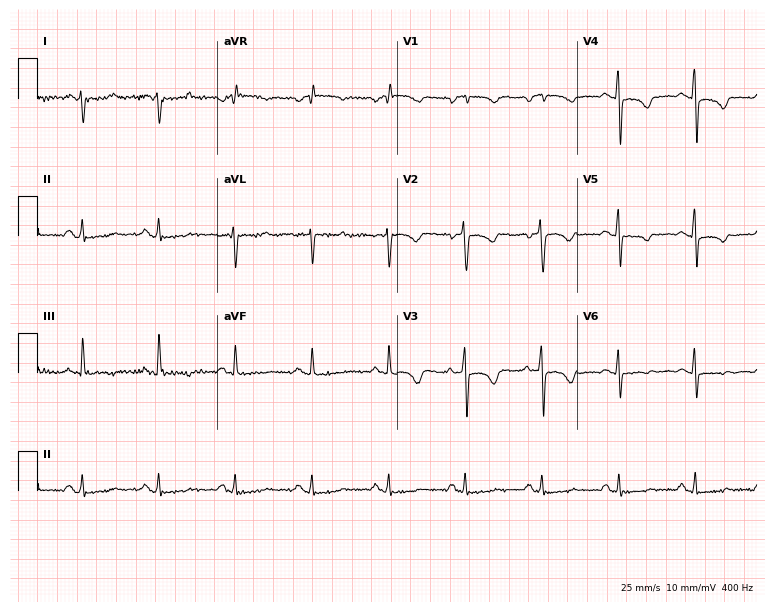
12-lead ECG from a 50-year-old woman. No first-degree AV block, right bundle branch block (RBBB), left bundle branch block (LBBB), sinus bradycardia, atrial fibrillation (AF) or sinus tachycardia recorded for this tracing. Only these six findings were labelled.